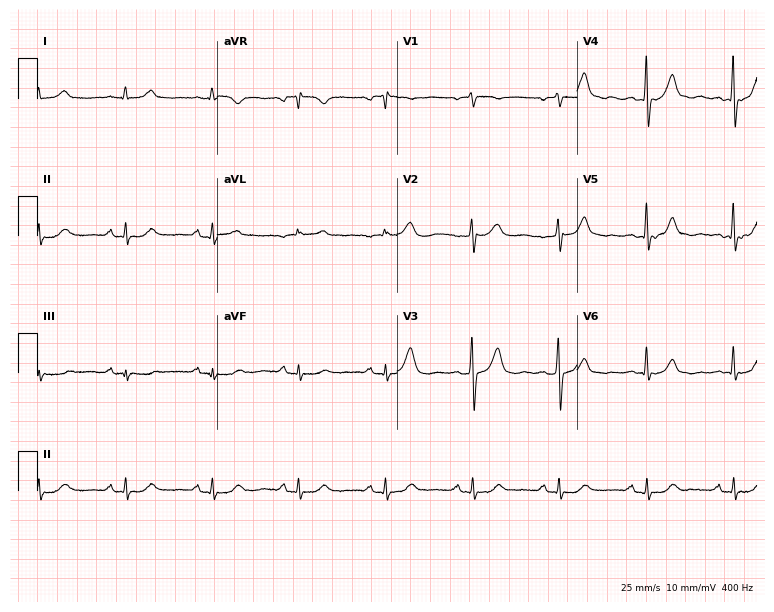
Resting 12-lead electrocardiogram (7.3-second recording at 400 Hz). Patient: a 74-year-old male. None of these six findings is recorded: first-degree AV block, right bundle branch block (RBBB), left bundle branch block (LBBB), sinus bradycardia, atrial fibrillation (AF), sinus tachycardia.